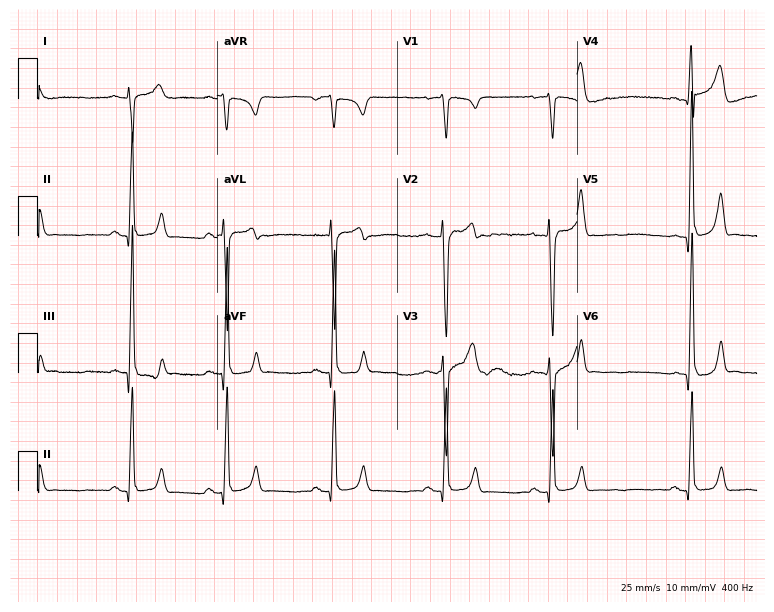
Standard 12-lead ECG recorded from a man, 28 years old (7.3-second recording at 400 Hz). None of these six findings is recorded: first-degree AV block, right bundle branch block (RBBB), left bundle branch block (LBBB), sinus bradycardia, atrial fibrillation (AF), sinus tachycardia.